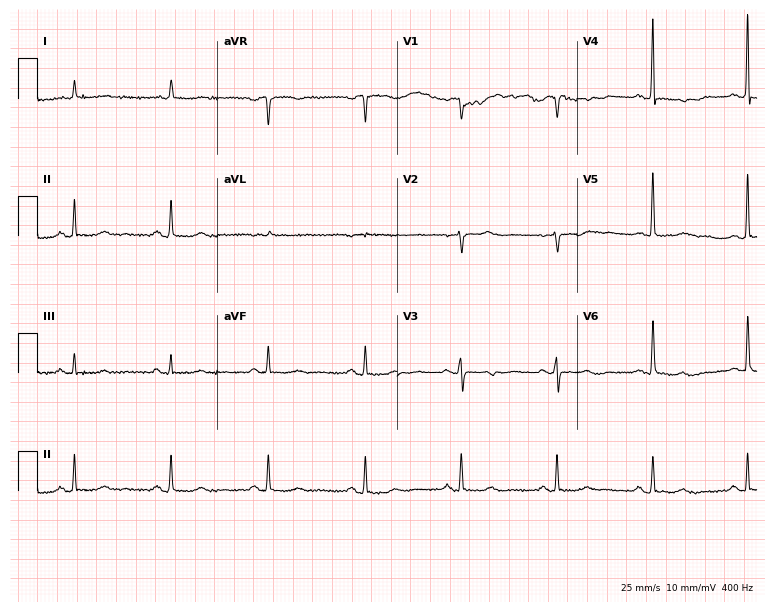
Standard 12-lead ECG recorded from an 81-year-old female. None of these six findings is recorded: first-degree AV block, right bundle branch block, left bundle branch block, sinus bradycardia, atrial fibrillation, sinus tachycardia.